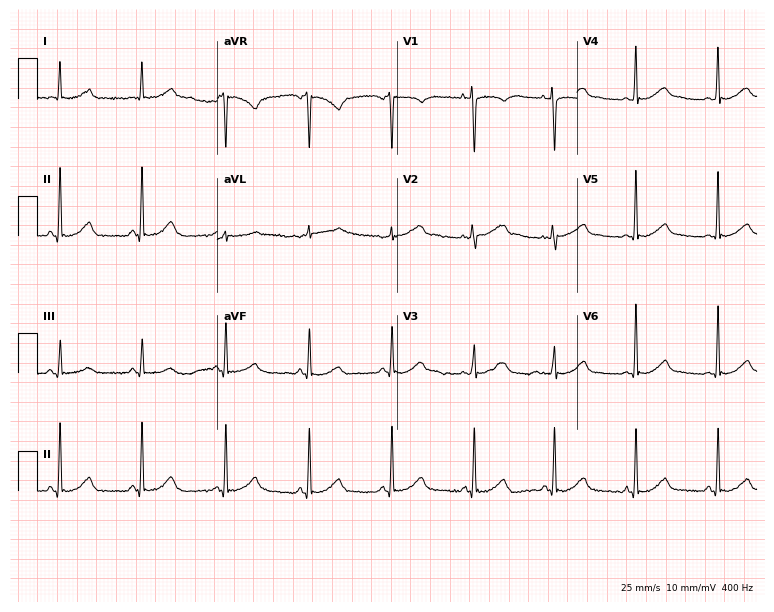
ECG — a 38-year-old woman. Screened for six findings — first-degree AV block, right bundle branch block, left bundle branch block, sinus bradycardia, atrial fibrillation, sinus tachycardia — none is recorded.